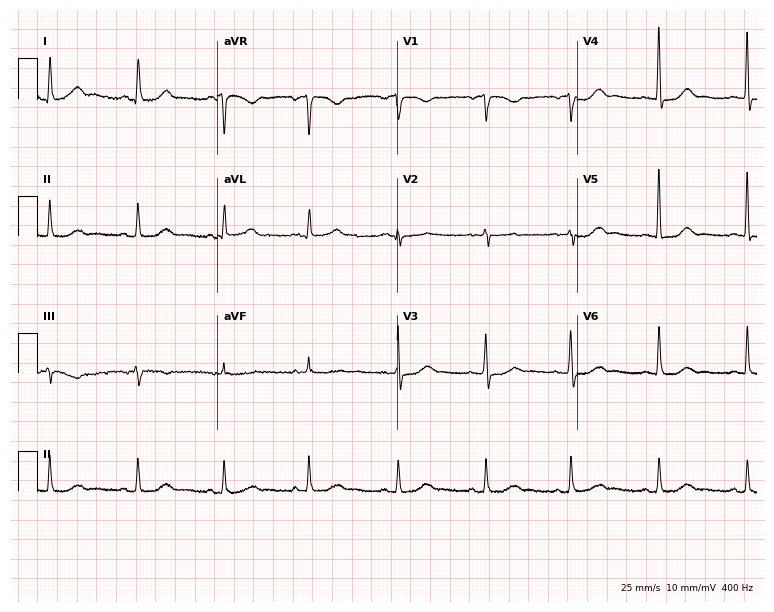
Standard 12-lead ECG recorded from a 66-year-old female patient. None of these six findings is recorded: first-degree AV block, right bundle branch block, left bundle branch block, sinus bradycardia, atrial fibrillation, sinus tachycardia. Findings outside these six are not listed.